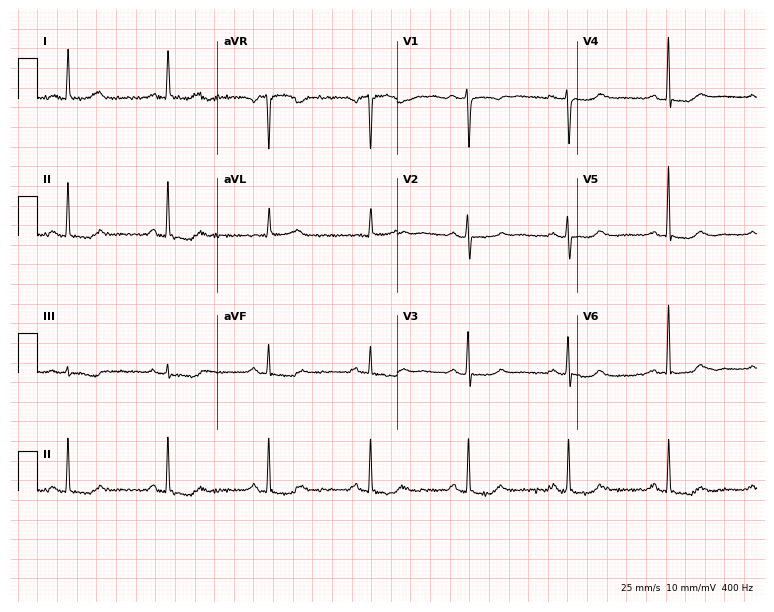
Standard 12-lead ECG recorded from a 64-year-old female patient. None of these six findings is recorded: first-degree AV block, right bundle branch block (RBBB), left bundle branch block (LBBB), sinus bradycardia, atrial fibrillation (AF), sinus tachycardia.